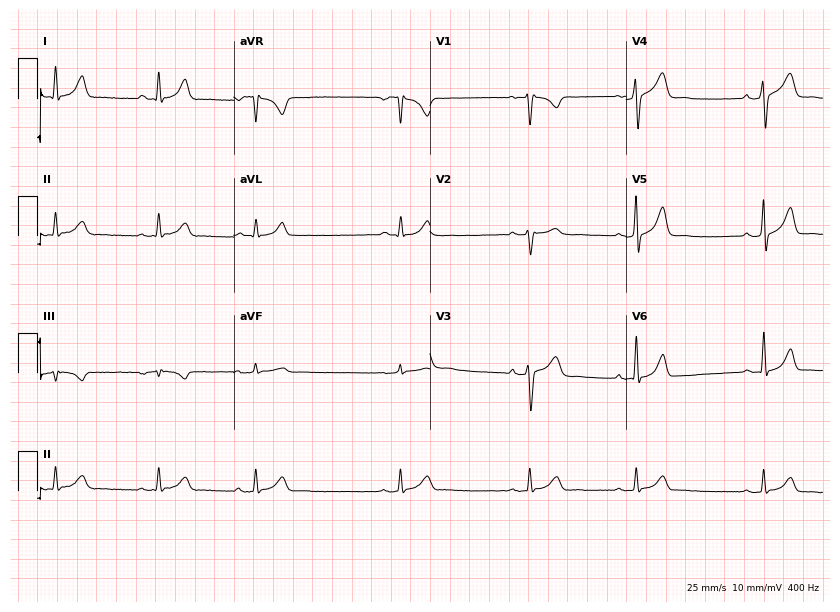
Resting 12-lead electrocardiogram (8-second recording at 400 Hz). Patient: a 38-year-old man. None of these six findings is recorded: first-degree AV block, right bundle branch block (RBBB), left bundle branch block (LBBB), sinus bradycardia, atrial fibrillation (AF), sinus tachycardia.